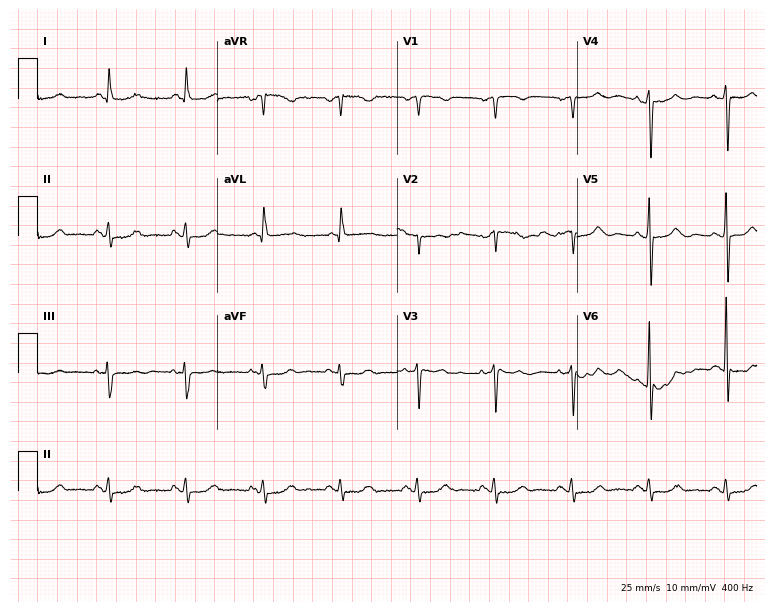
12-lead ECG from an 80-year-old female patient. No first-degree AV block, right bundle branch block, left bundle branch block, sinus bradycardia, atrial fibrillation or sinus tachycardia recorded for this tracing. Other findings, if any, are not listed.